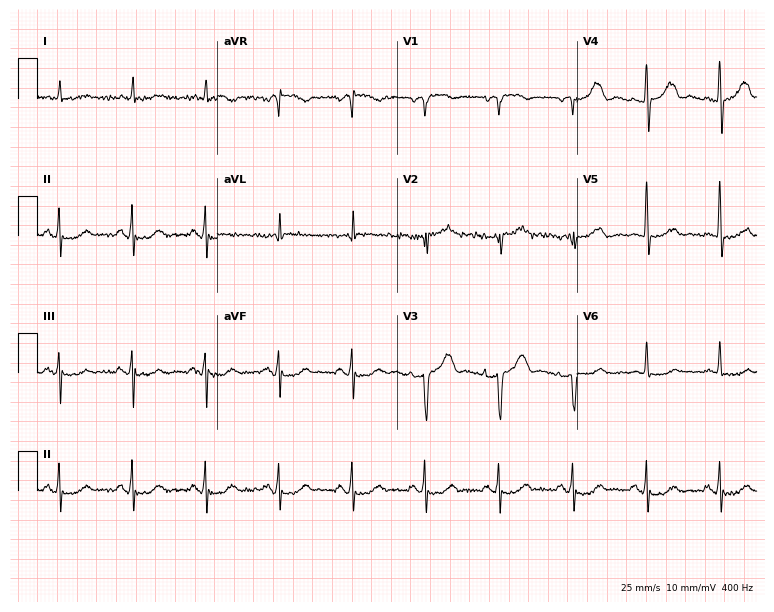
12-lead ECG from a female, 72 years old. Screened for six findings — first-degree AV block, right bundle branch block, left bundle branch block, sinus bradycardia, atrial fibrillation, sinus tachycardia — none is recorded.